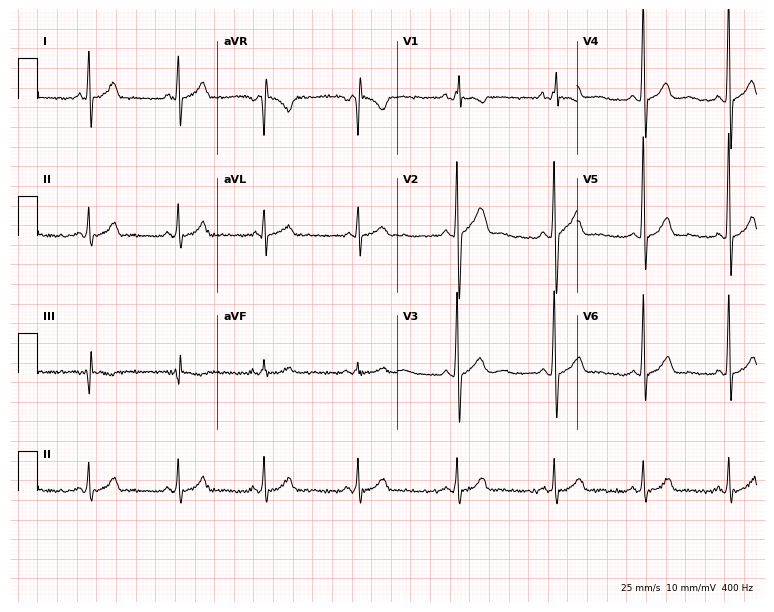
Resting 12-lead electrocardiogram. Patient: a 21-year-old man. Read as a normal ECG.